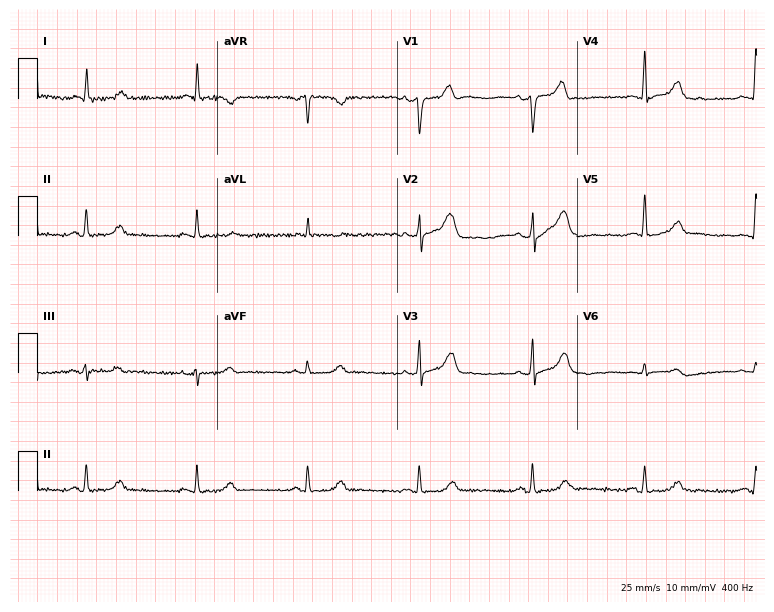
12-lead ECG (7.3-second recording at 400 Hz) from a male, 67 years old. Labelled as a normal ECG.